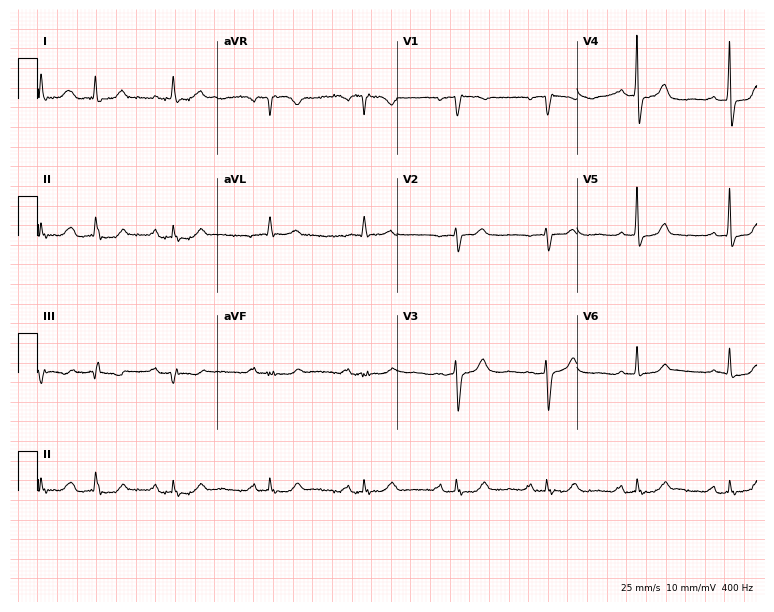
ECG — a female, 70 years old. Screened for six findings — first-degree AV block, right bundle branch block, left bundle branch block, sinus bradycardia, atrial fibrillation, sinus tachycardia — none is recorded. Findings outside these six are not listed.